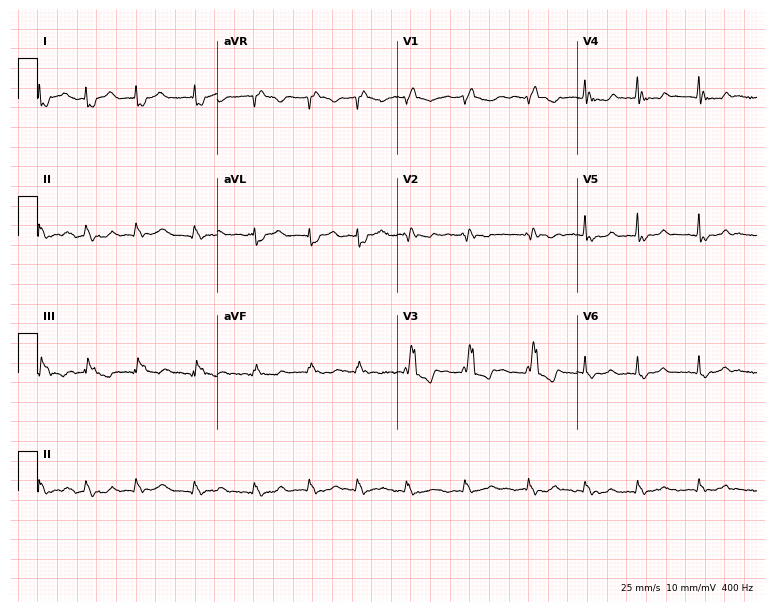
Electrocardiogram, an 85-year-old woman. Interpretation includes right bundle branch block (RBBB), atrial fibrillation (AF).